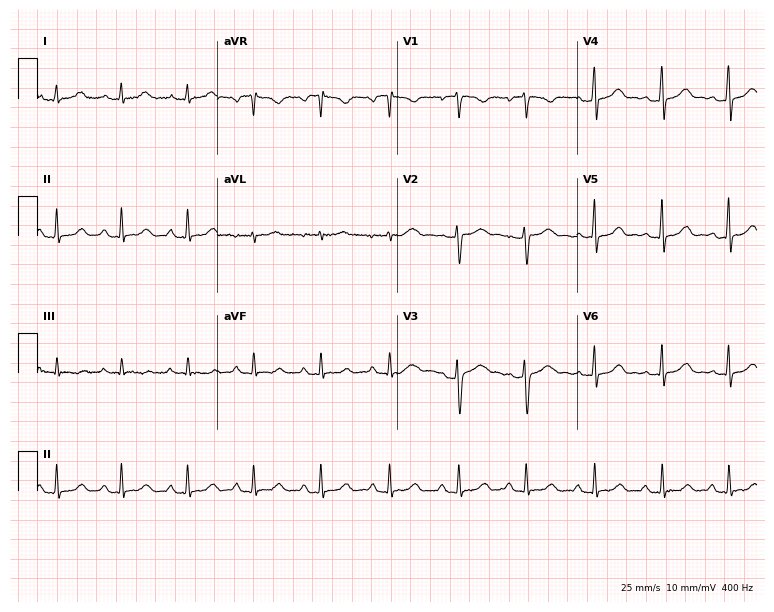
Standard 12-lead ECG recorded from a 39-year-old female (7.3-second recording at 400 Hz). None of these six findings is recorded: first-degree AV block, right bundle branch block (RBBB), left bundle branch block (LBBB), sinus bradycardia, atrial fibrillation (AF), sinus tachycardia. Other findings, if any, are not listed.